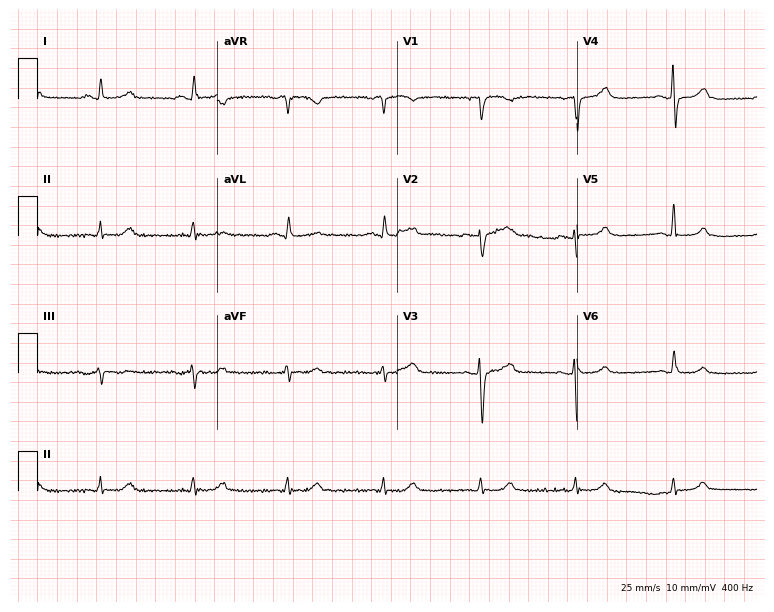
ECG — a man, 57 years old. Labelled as a normal ECG.